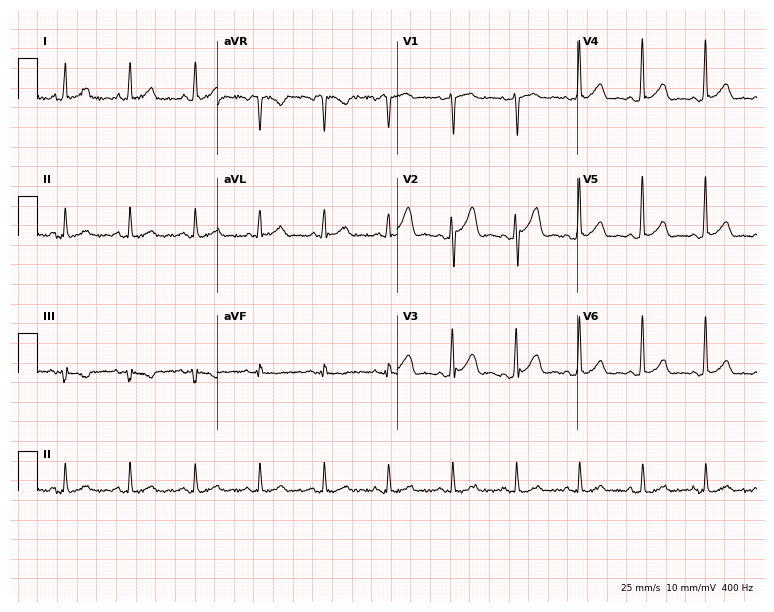
ECG — a male, 62 years old. Screened for six findings — first-degree AV block, right bundle branch block (RBBB), left bundle branch block (LBBB), sinus bradycardia, atrial fibrillation (AF), sinus tachycardia — none is recorded.